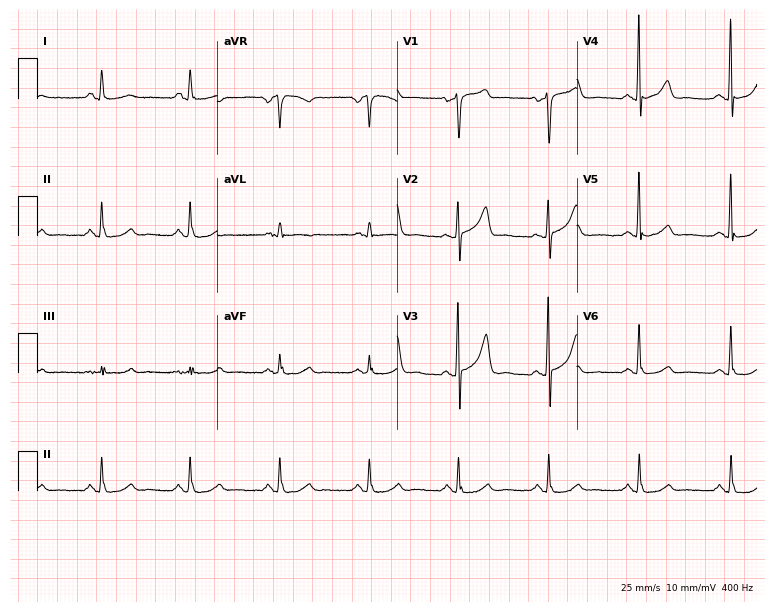
12-lead ECG from a female, 57 years old. No first-degree AV block, right bundle branch block (RBBB), left bundle branch block (LBBB), sinus bradycardia, atrial fibrillation (AF) or sinus tachycardia recorded for this tracing. Other findings, if any, are not listed.